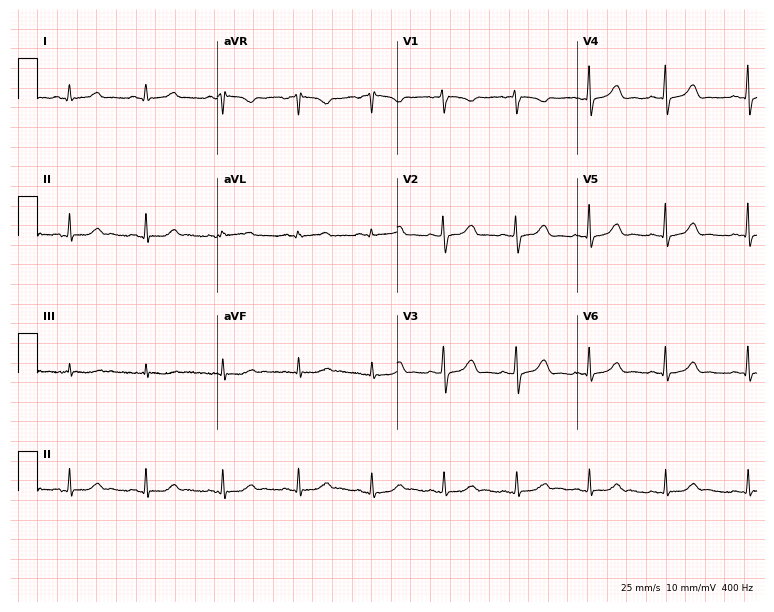
12-lead ECG from a woman, 32 years old (7.3-second recording at 400 Hz). Recorded interpretation: within normal limits.